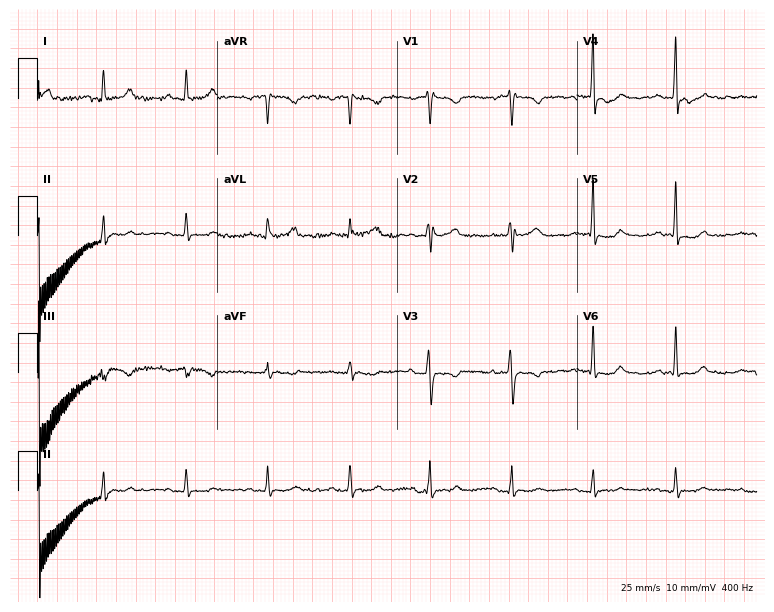
Standard 12-lead ECG recorded from a female, 39 years old. None of these six findings is recorded: first-degree AV block, right bundle branch block (RBBB), left bundle branch block (LBBB), sinus bradycardia, atrial fibrillation (AF), sinus tachycardia.